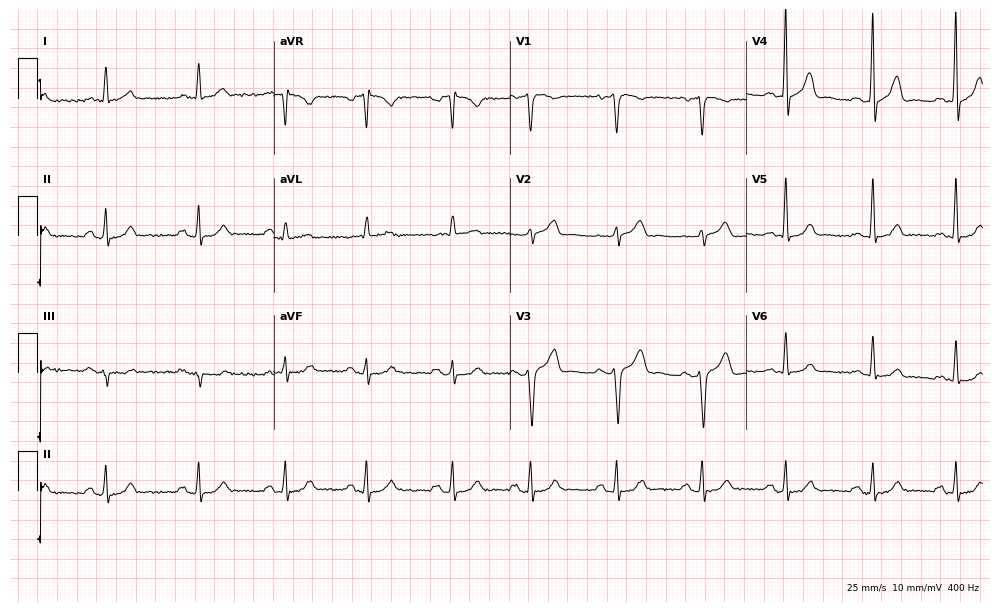
Standard 12-lead ECG recorded from a male, 59 years old (9.6-second recording at 400 Hz). Read as a normal ECG.